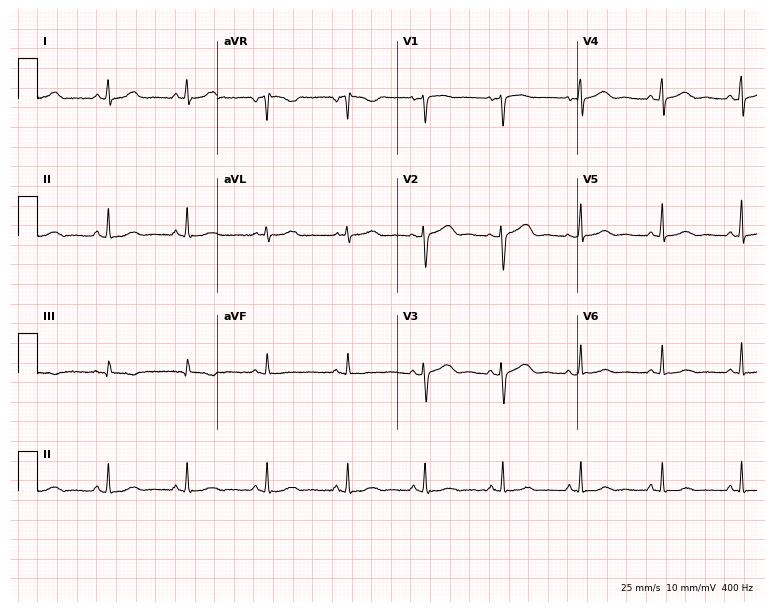
Electrocardiogram (7.3-second recording at 400 Hz), a woman, 48 years old. Overall reading on record: normal ECG.